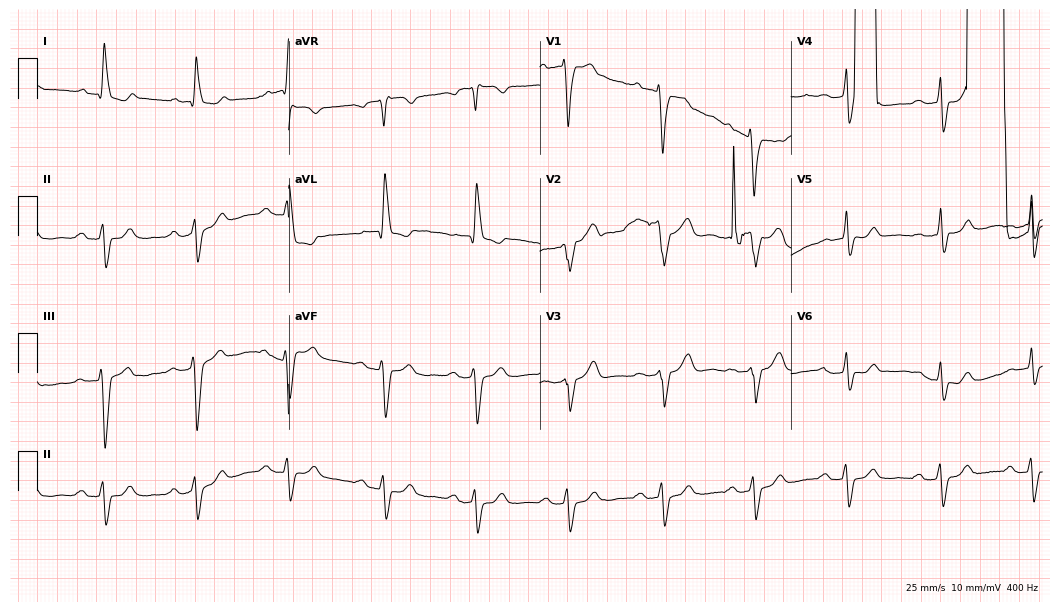
Standard 12-lead ECG recorded from a woman, 57 years old (10.2-second recording at 400 Hz). None of these six findings is recorded: first-degree AV block, right bundle branch block, left bundle branch block, sinus bradycardia, atrial fibrillation, sinus tachycardia.